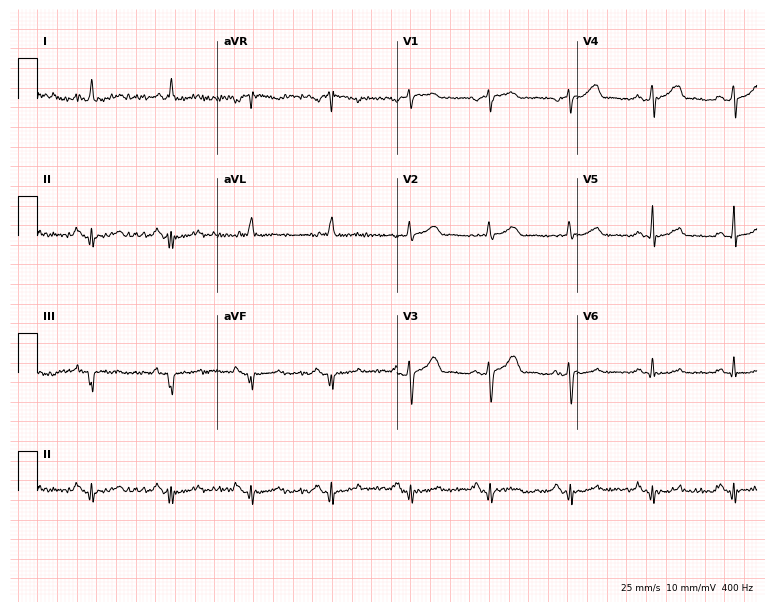
12-lead ECG (7.3-second recording at 400 Hz) from a 74-year-old male patient. Screened for six findings — first-degree AV block, right bundle branch block, left bundle branch block, sinus bradycardia, atrial fibrillation, sinus tachycardia — none is recorded. Findings outside these six are not listed.